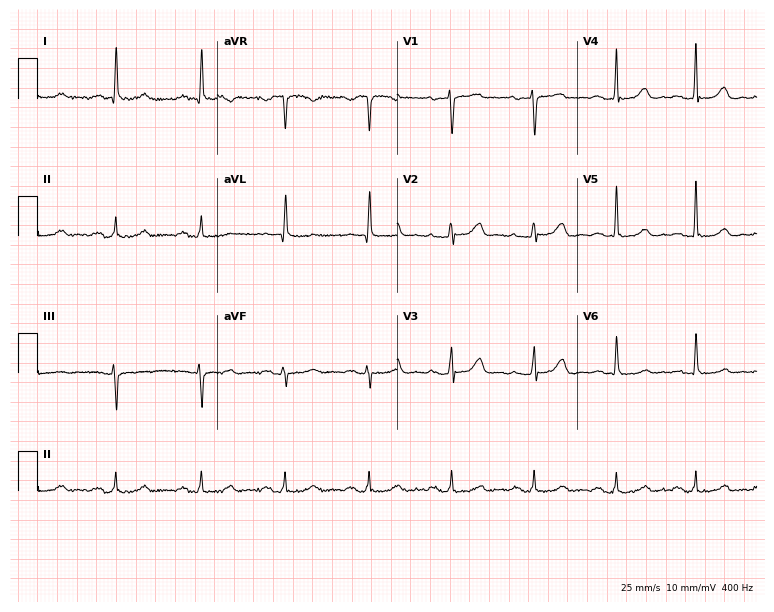
ECG (7.3-second recording at 400 Hz) — a 58-year-old woman. Labelled as a normal ECG.